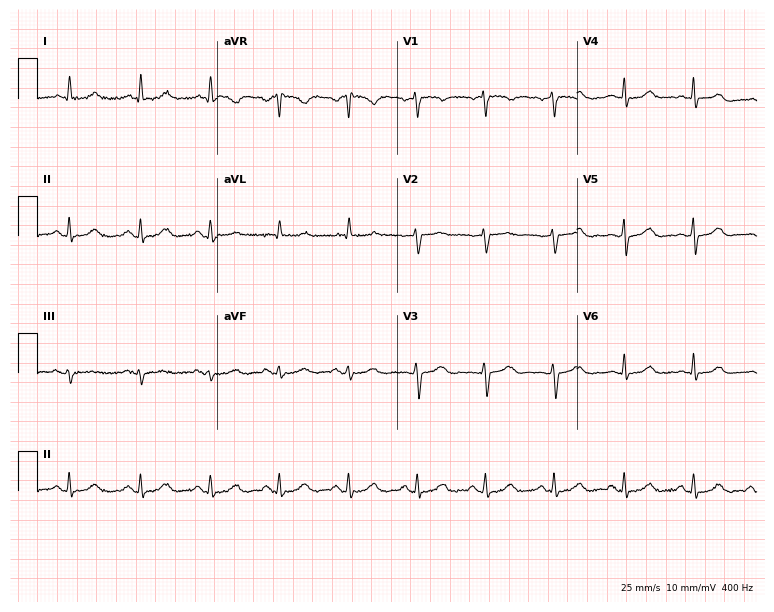
12-lead ECG from a 55-year-old female patient. Recorded interpretation: within normal limits.